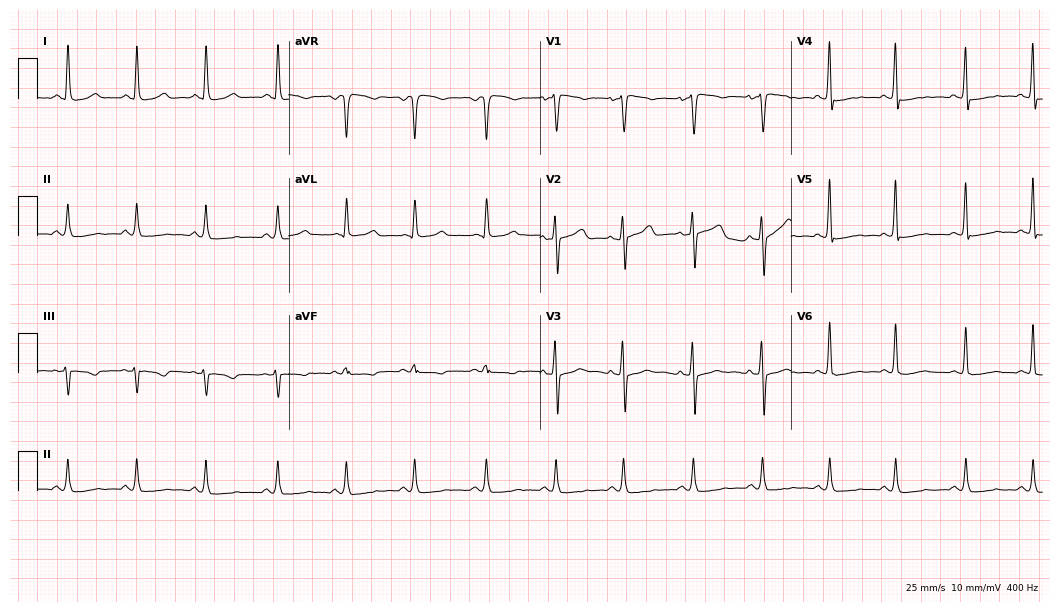
12-lead ECG from a 39-year-old woman. Screened for six findings — first-degree AV block, right bundle branch block, left bundle branch block, sinus bradycardia, atrial fibrillation, sinus tachycardia — none is recorded.